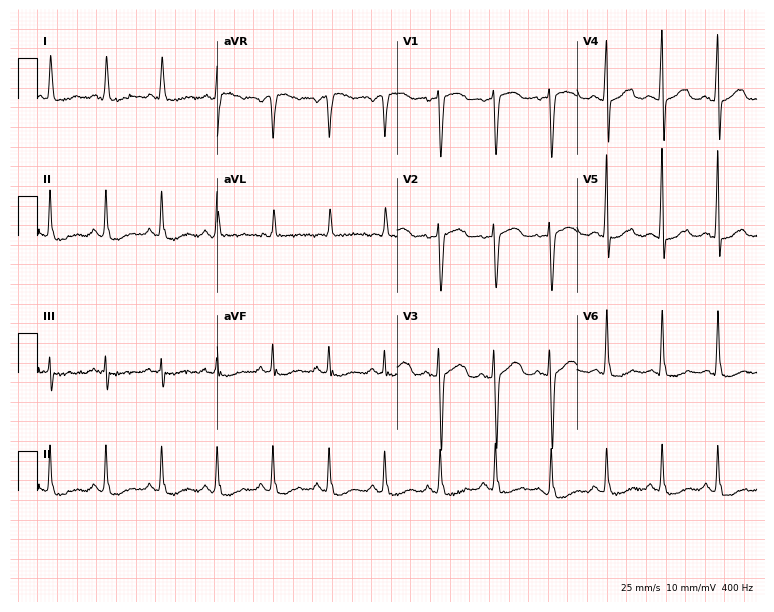
Standard 12-lead ECG recorded from a woman, 67 years old (7.3-second recording at 400 Hz). The tracing shows sinus tachycardia (a sinus rate of 100 beats per minute or more).